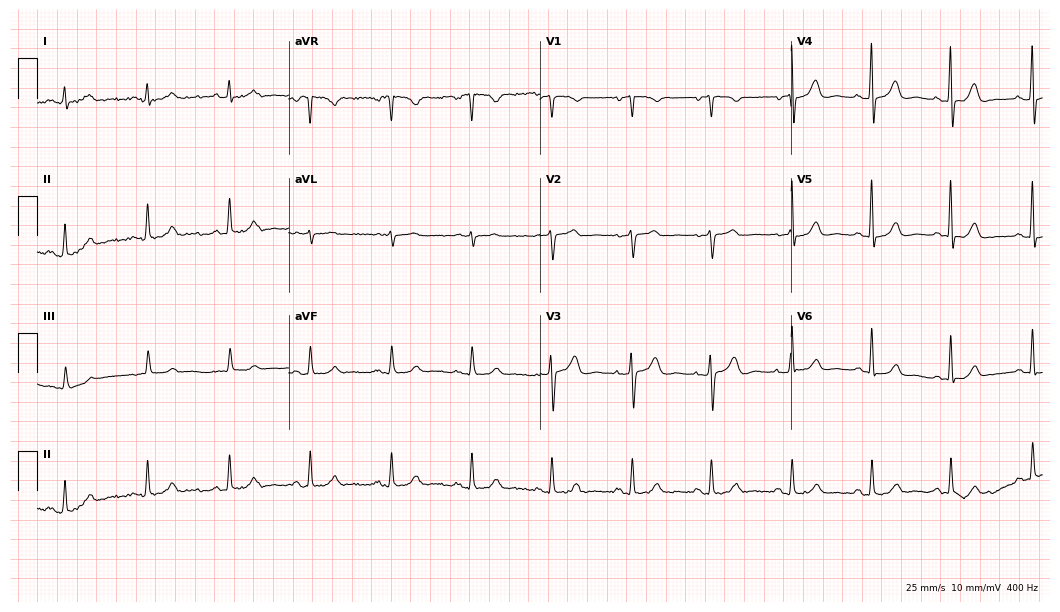
12-lead ECG (10.2-second recording at 400 Hz) from a female, 84 years old. Screened for six findings — first-degree AV block, right bundle branch block, left bundle branch block, sinus bradycardia, atrial fibrillation, sinus tachycardia — none is recorded. Only these six findings were labelled.